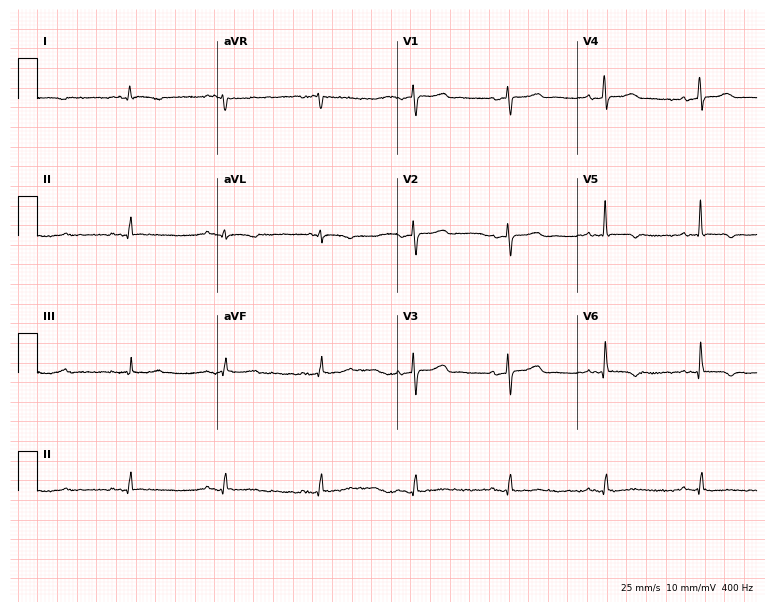
Resting 12-lead electrocardiogram. Patient: a female, 78 years old. None of these six findings is recorded: first-degree AV block, right bundle branch block, left bundle branch block, sinus bradycardia, atrial fibrillation, sinus tachycardia. Only these six findings were labelled.